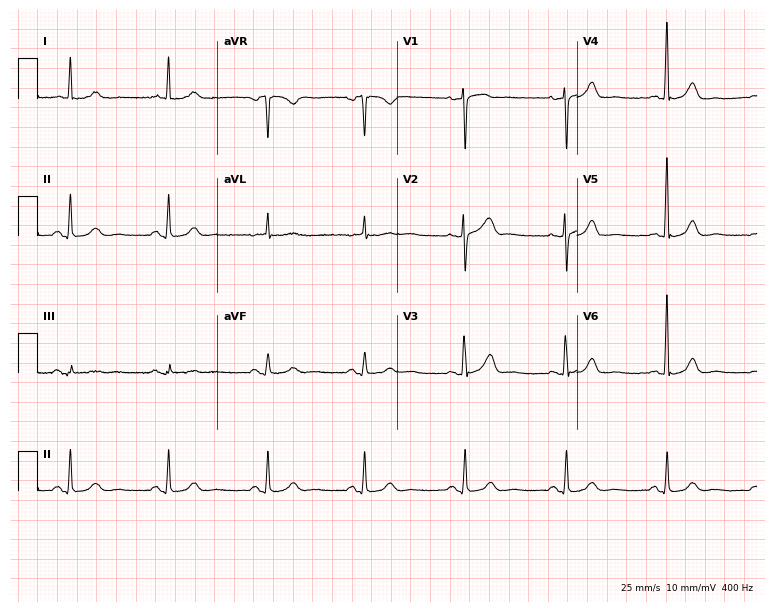
ECG (7.3-second recording at 400 Hz) — a woman, 22 years old. Labelled as a normal ECG.